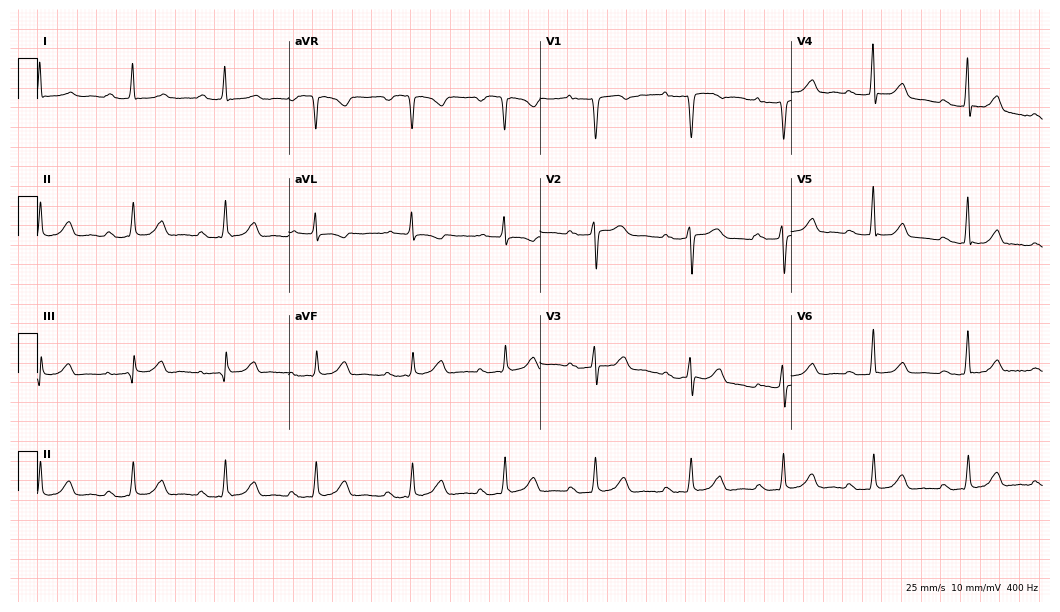
ECG (10.2-second recording at 400 Hz) — a 66-year-old female patient. Findings include first-degree AV block.